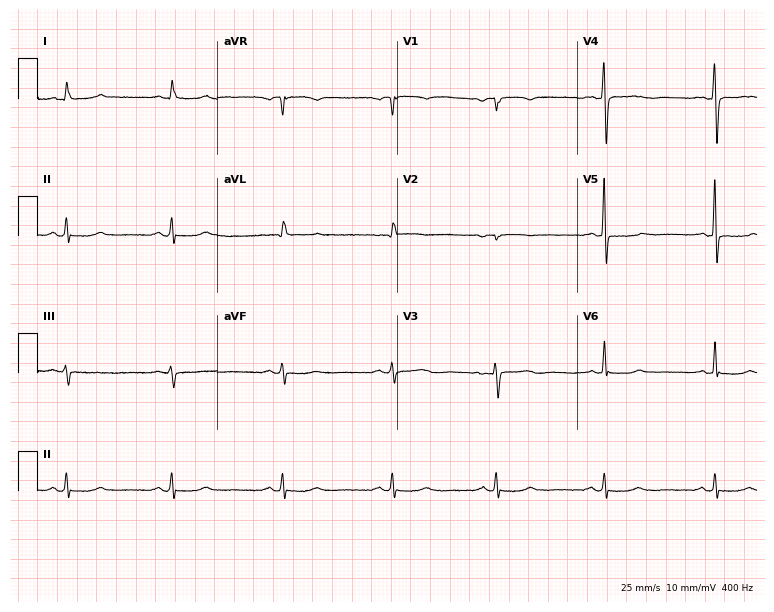
ECG (7.3-second recording at 400 Hz) — a female, 68 years old. Labelled as a normal ECG.